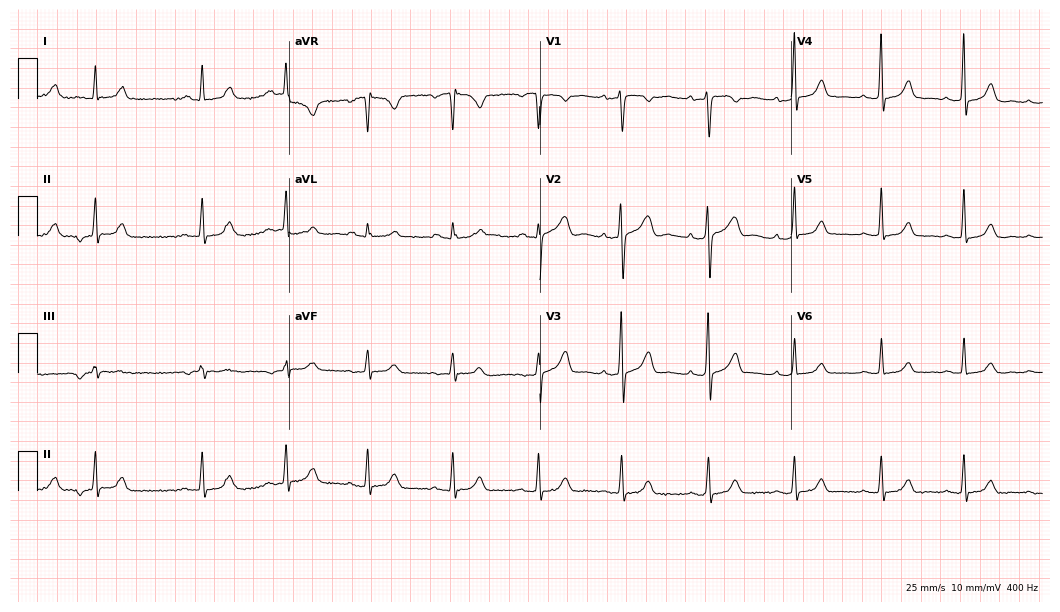
Resting 12-lead electrocardiogram (10.2-second recording at 400 Hz). Patient: a 44-year-old woman. Read as a normal ECG.